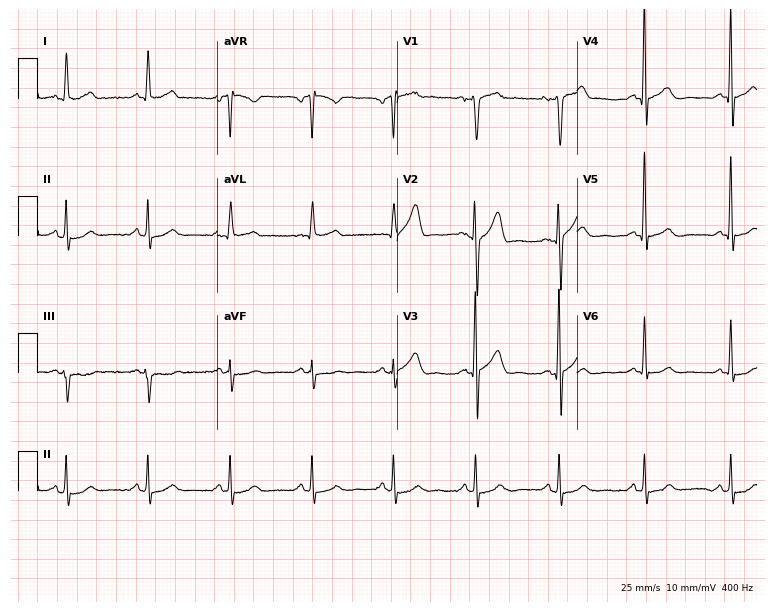
ECG (7.3-second recording at 400 Hz) — a male, 60 years old. Screened for six findings — first-degree AV block, right bundle branch block (RBBB), left bundle branch block (LBBB), sinus bradycardia, atrial fibrillation (AF), sinus tachycardia — none is recorded. Findings outside these six are not listed.